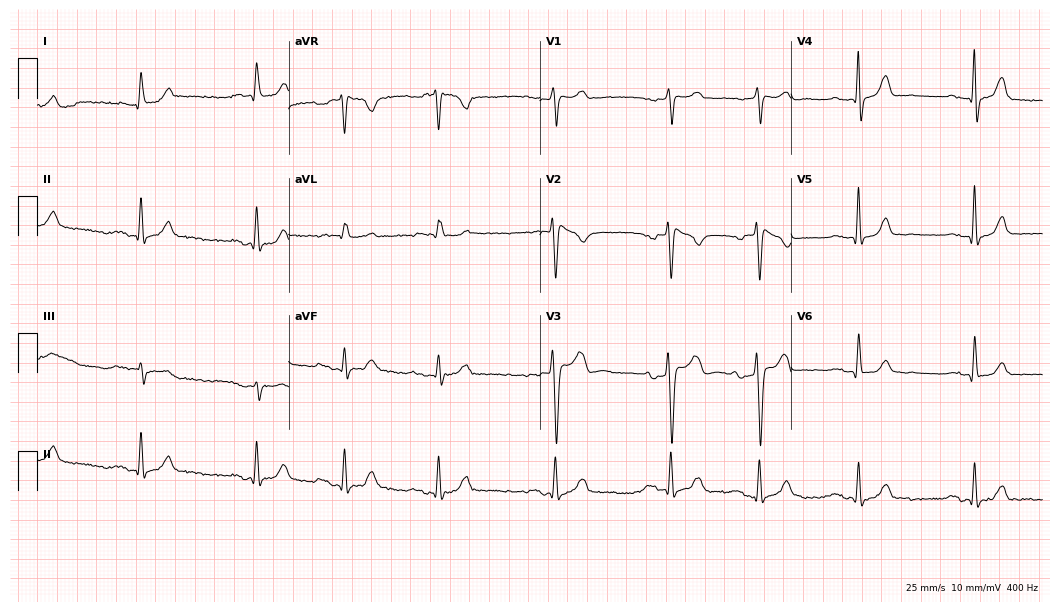
Standard 12-lead ECG recorded from an 83-year-old female patient. None of these six findings is recorded: first-degree AV block, right bundle branch block, left bundle branch block, sinus bradycardia, atrial fibrillation, sinus tachycardia.